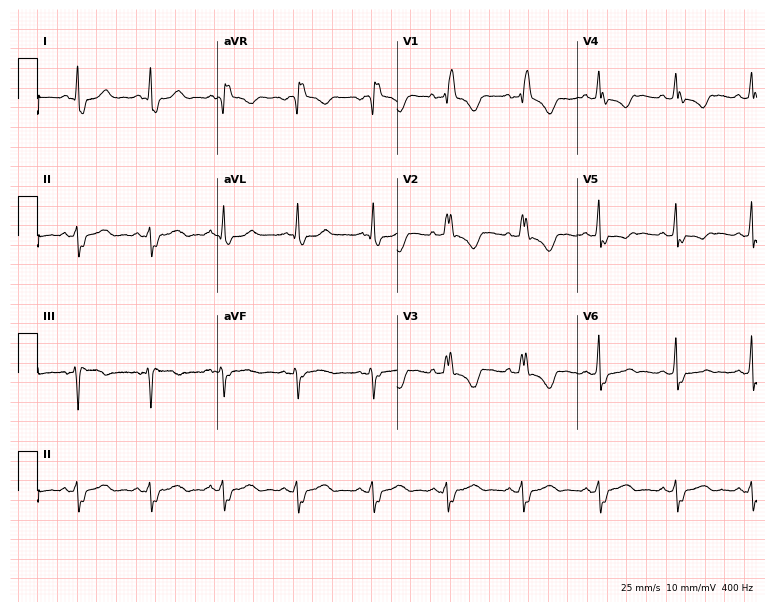
12-lead ECG from a 52-year-old woman. Shows right bundle branch block.